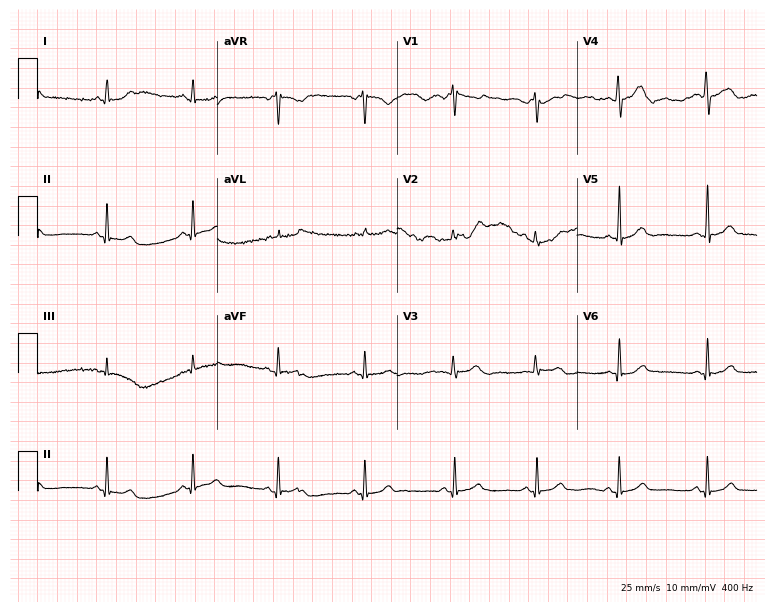
Electrocardiogram, a 23-year-old female. Overall reading on record: normal ECG.